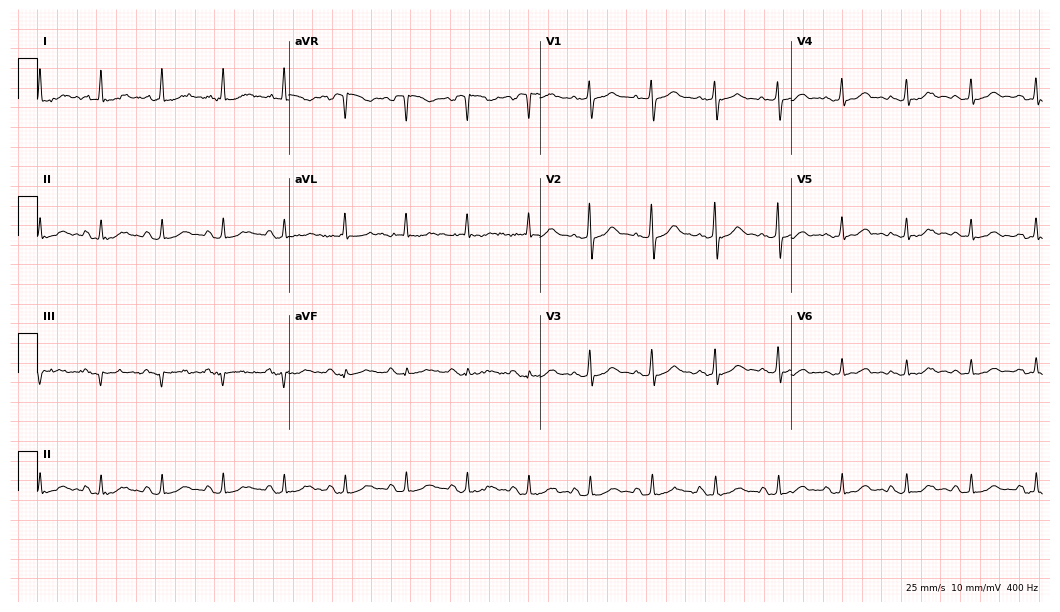
Standard 12-lead ECG recorded from a female, 78 years old (10.2-second recording at 400 Hz). None of these six findings is recorded: first-degree AV block, right bundle branch block (RBBB), left bundle branch block (LBBB), sinus bradycardia, atrial fibrillation (AF), sinus tachycardia.